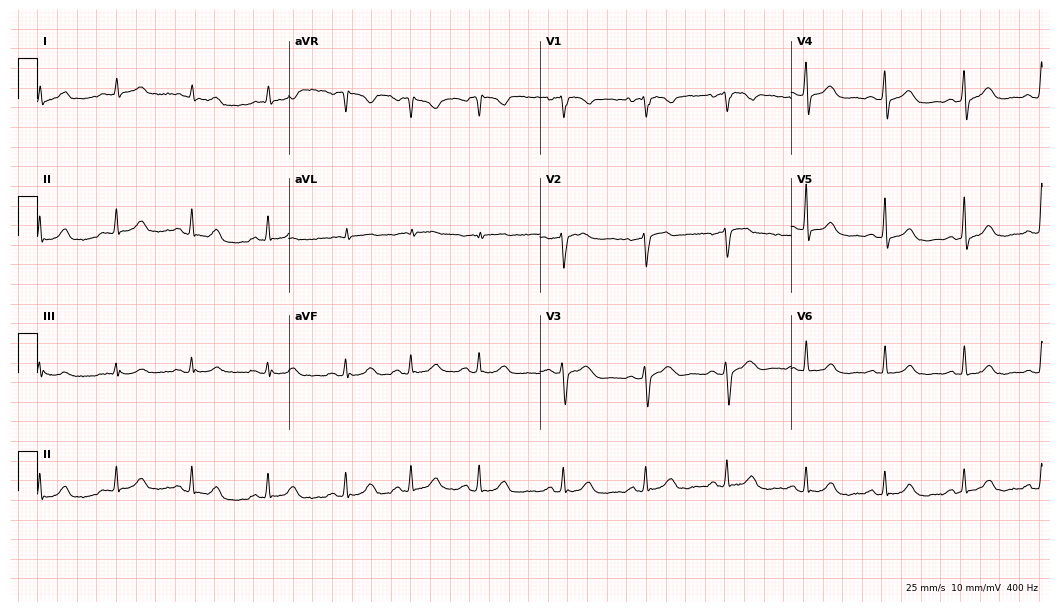
Standard 12-lead ECG recorded from a 60-year-old female patient. Read as a normal ECG.